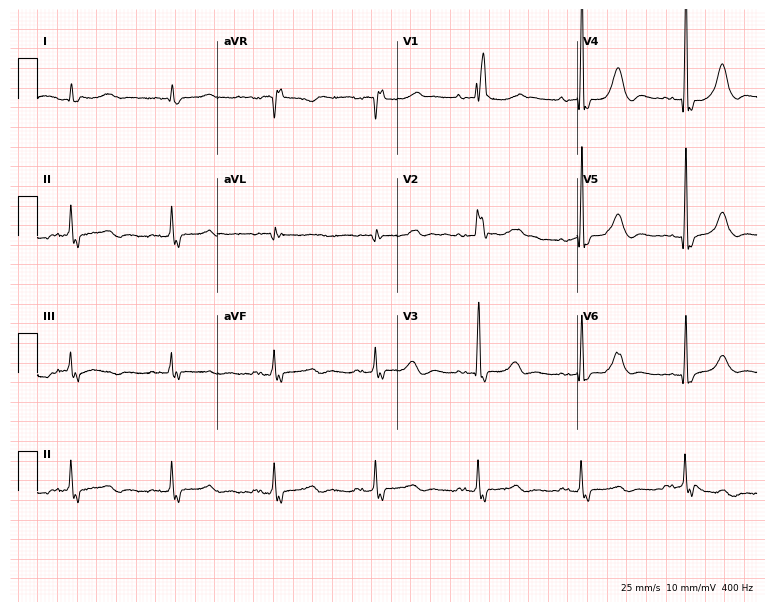
Electrocardiogram (7.3-second recording at 400 Hz), a 70-year-old female patient. Interpretation includes right bundle branch block (RBBB).